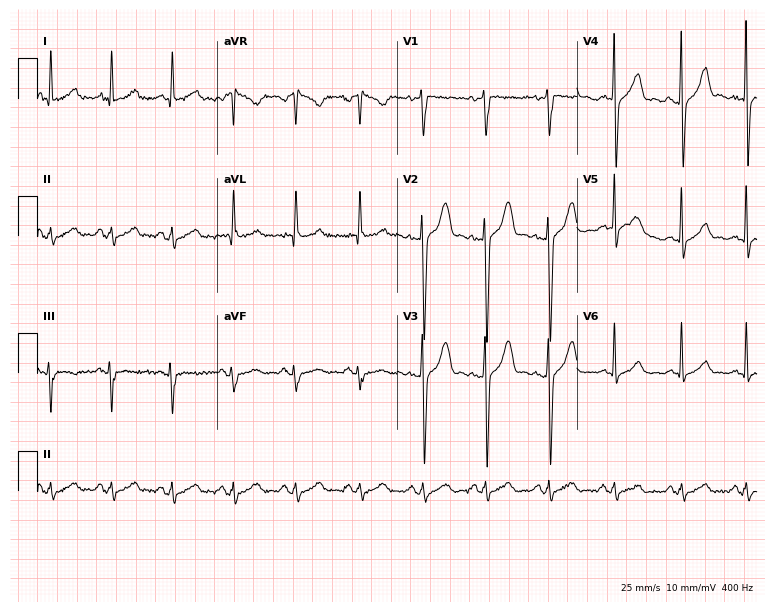
ECG (7.3-second recording at 400 Hz) — a 50-year-old male patient. Screened for six findings — first-degree AV block, right bundle branch block, left bundle branch block, sinus bradycardia, atrial fibrillation, sinus tachycardia — none is recorded. Other findings, if any, are not listed.